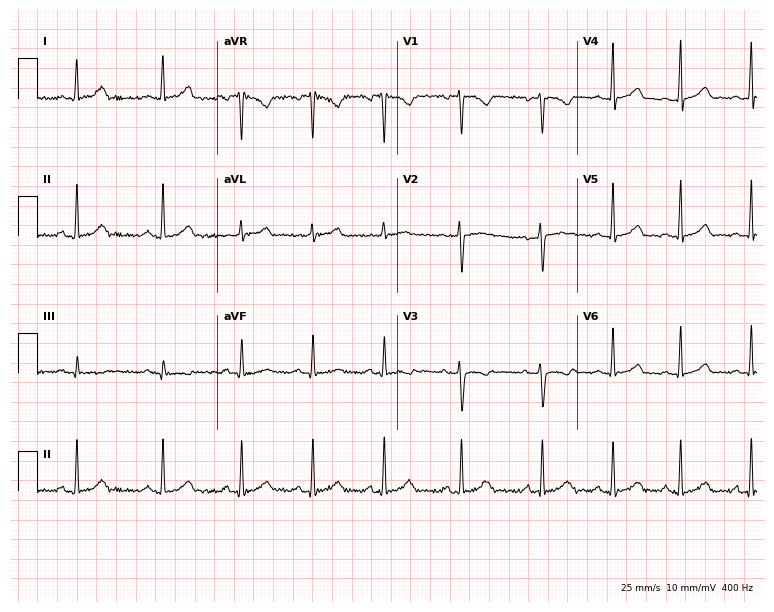
Electrocardiogram (7.3-second recording at 400 Hz), a female patient, 24 years old. Overall reading on record: normal ECG.